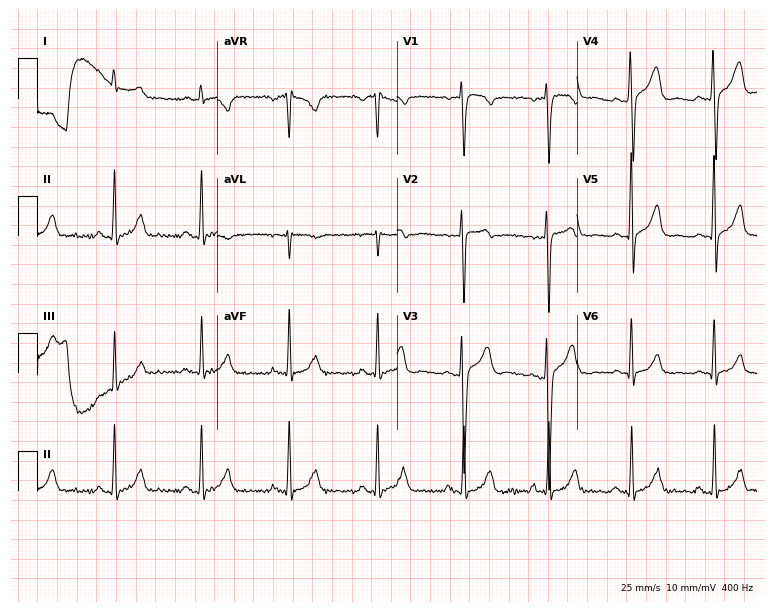
Resting 12-lead electrocardiogram. Patient: a 30-year-old man. None of these six findings is recorded: first-degree AV block, right bundle branch block, left bundle branch block, sinus bradycardia, atrial fibrillation, sinus tachycardia. Only these six findings were labelled.